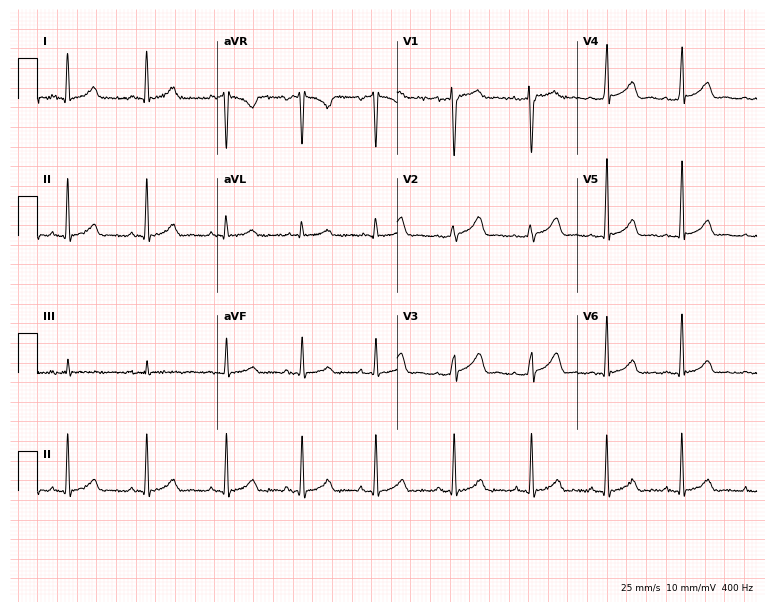
Electrocardiogram (7.3-second recording at 400 Hz), a 33-year-old female patient. Of the six screened findings (first-degree AV block, right bundle branch block, left bundle branch block, sinus bradycardia, atrial fibrillation, sinus tachycardia), none is recorded.